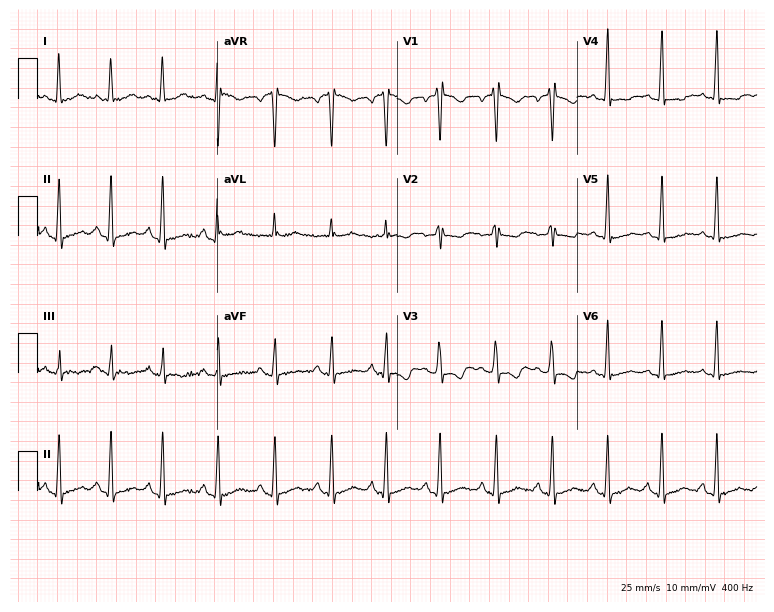
12-lead ECG from a woman, 27 years old. Findings include sinus tachycardia (a sinus rate of 100 beats per minute or more).